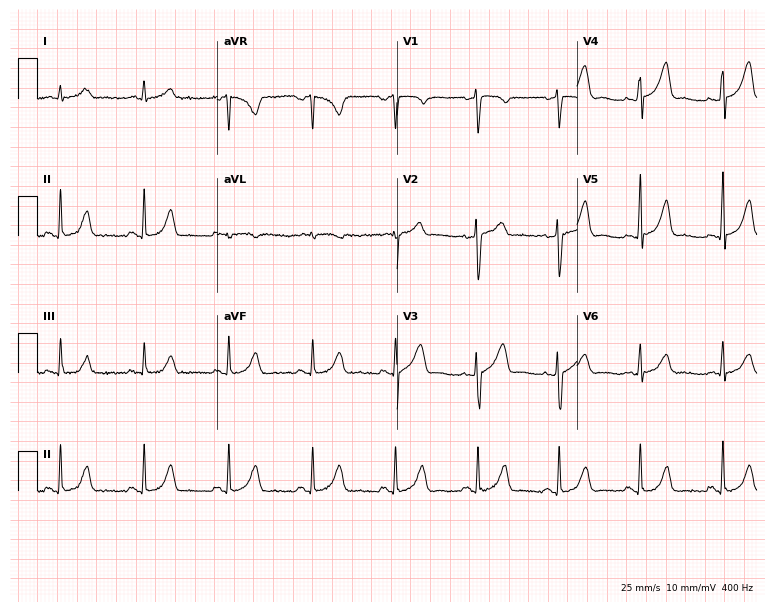
Standard 12-lead ECG recorded from a female patient, 49 years old (7.3-second recording at 400 Hz). Read as a normal ECG.